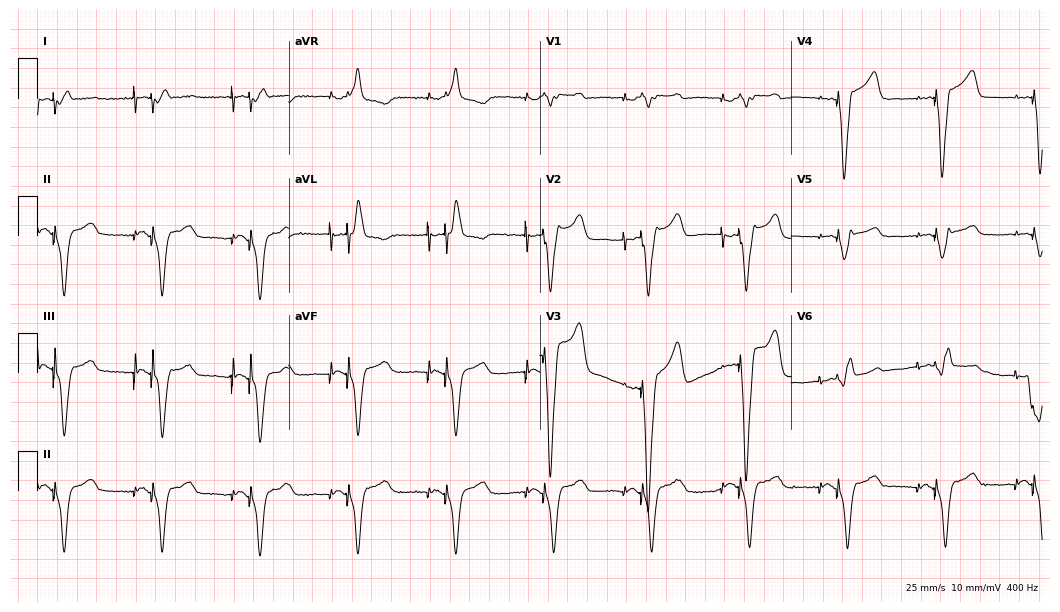
12-lead ECG (10.2-second recording at 400 Hz) from a 60-year-old male patient. Screened for six findings — first-degree AV block, right bundle branch block (RBBB), left bundle branch block (LBBB), sinus bradycardia, atrial fibrillation (AF), sinus tachycardia — none is recorded.